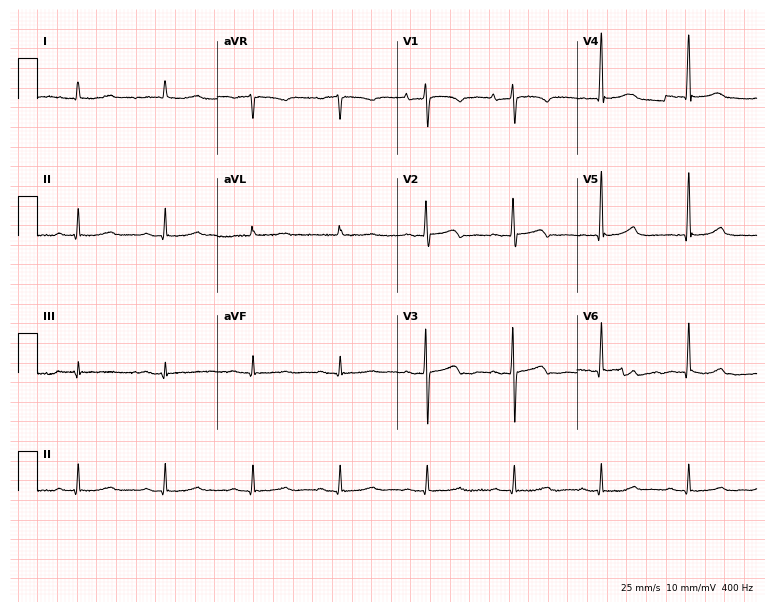
Standard 12-lead ECG recorded from a woman, 84 years old (7.3-second recording at 400 Hz). None of these six findings is recorded: first-degree AV block, right bundle branch block (RBBB), left bundle branch block (LBBB), sinus bradycardia, atrial fibrillation (AF), sinus tachycardia.